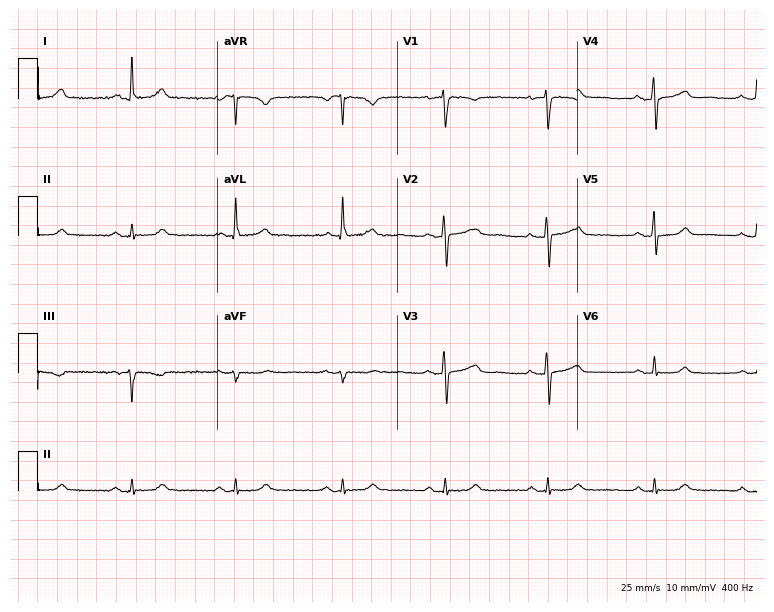
Resting 12-lead electrocardiogram. Patient: a female, 51 years old. Read as a normal ECG.